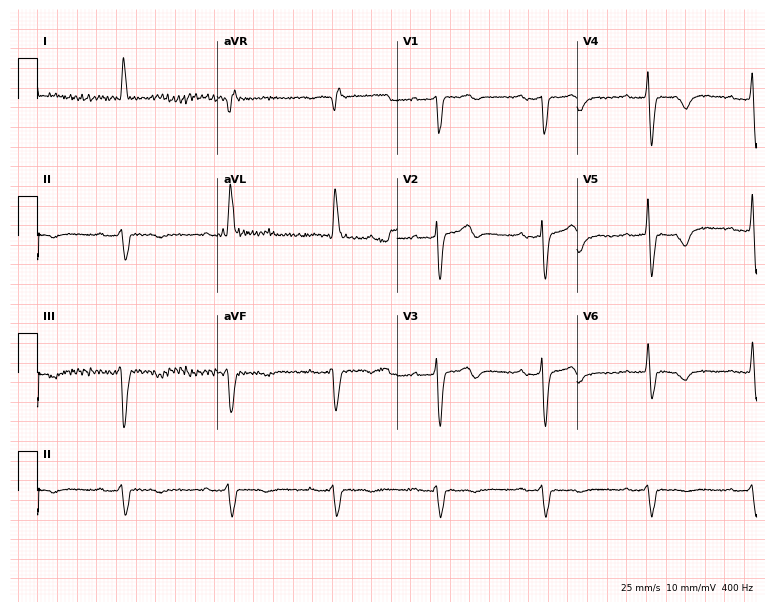
12-lead ECG from an 83-year-old male patient. Shows first-degree AV block, left bundle branch block.